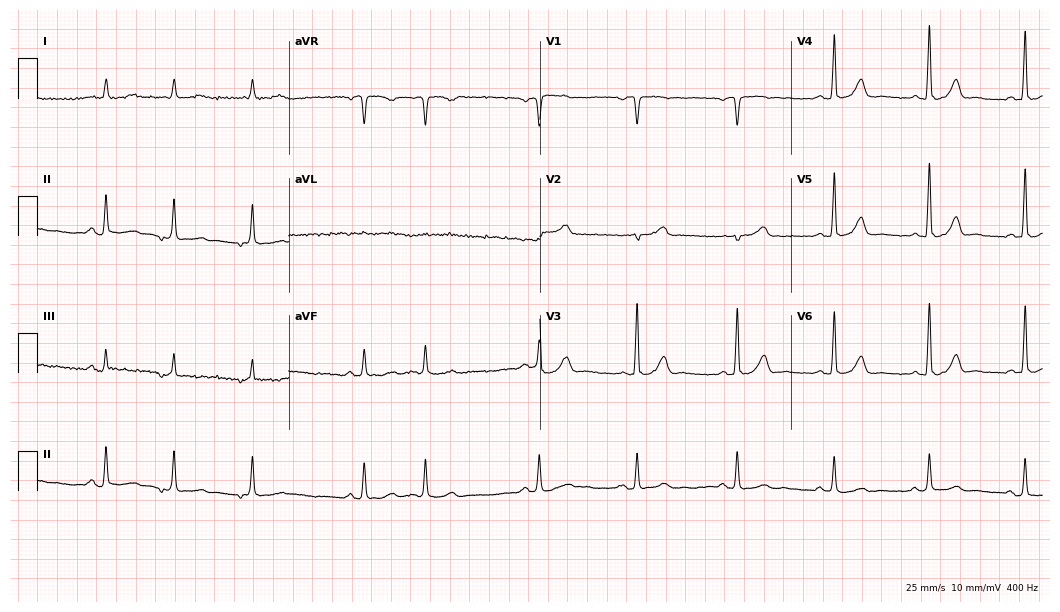
Standard 12-lead ECG recorded from a male patient, 83 years old (10.2-second recording at 400 Hz). None of these six findings is recorded: first-degree AV block, right bundle branch block, left bundle branch block, sinus bradycardia, atrial fibrillation, sinus tachycardia.